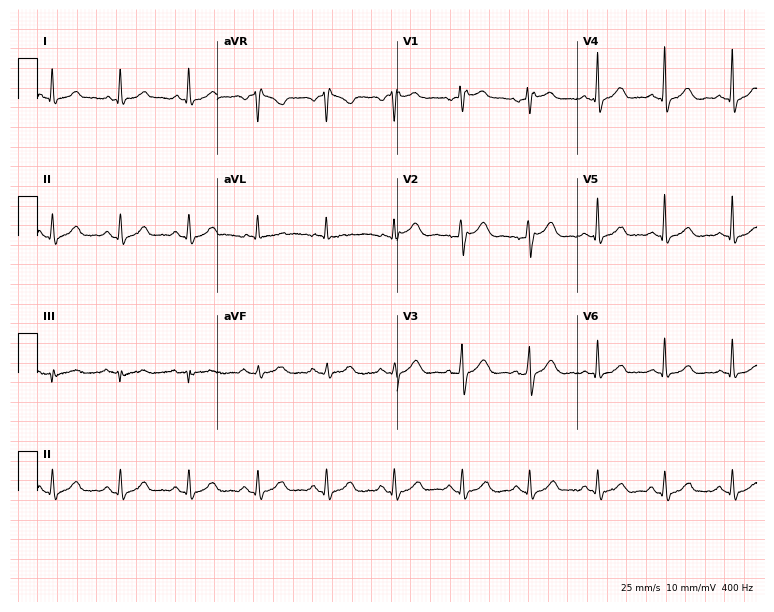
12-lead ECG from a 62-year-old female (7.3-second recording at 400 Hz). No first-degree AV block, right bundle branch block, left bundle branch block, sinus bradycardia, atrial fibrillation or sinus tachycardia recorded for this tracing.